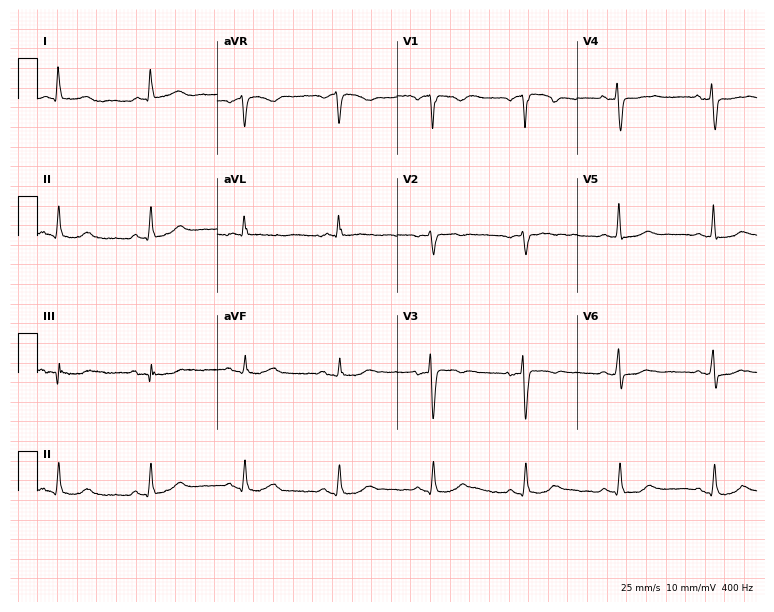
12-lead ECG from an 83-year-old woman (7.3-second recording at 400 Hz). No first-degree AV block, right bundle branch block (RBBB), left bundle branch block (LBBB), sinus bradycardia, atrial fibrillation (AF) or sinus tachycardia recorded for this tracing.